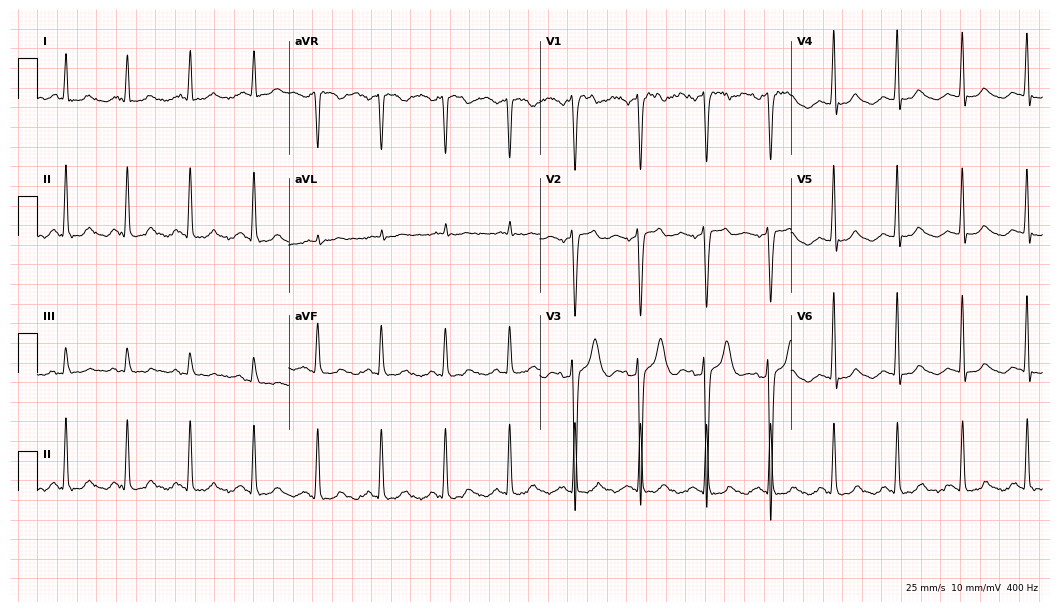
ECG (10.2-second recording at 400 Hz) — a 66-year-old male patient. Labelled as a normal ECG.